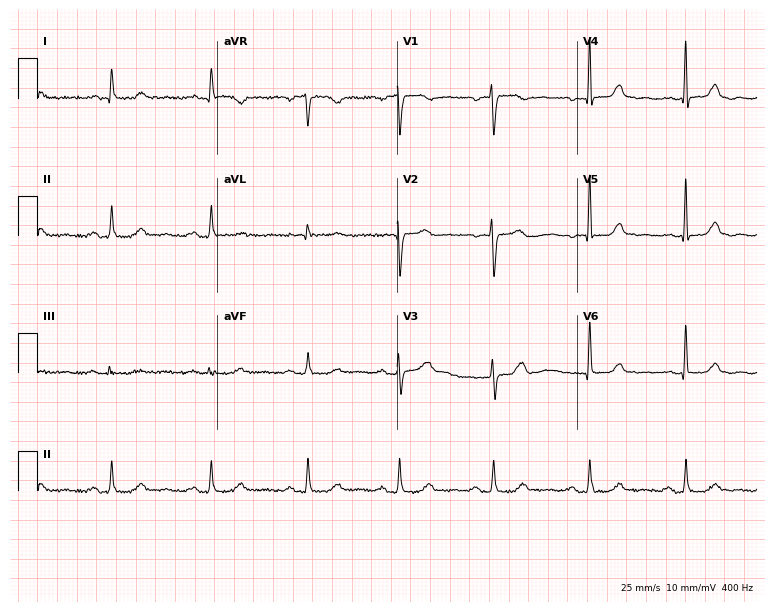
Electrocardiogram, a female, 47 years old. Of the six screened findings (first-degree AV block, right bundle branch block, left bundle branch block, sinus bradycardia, atrial fibrillation, sinus tachycardia), none is recorded. Only these six findings were labelled.